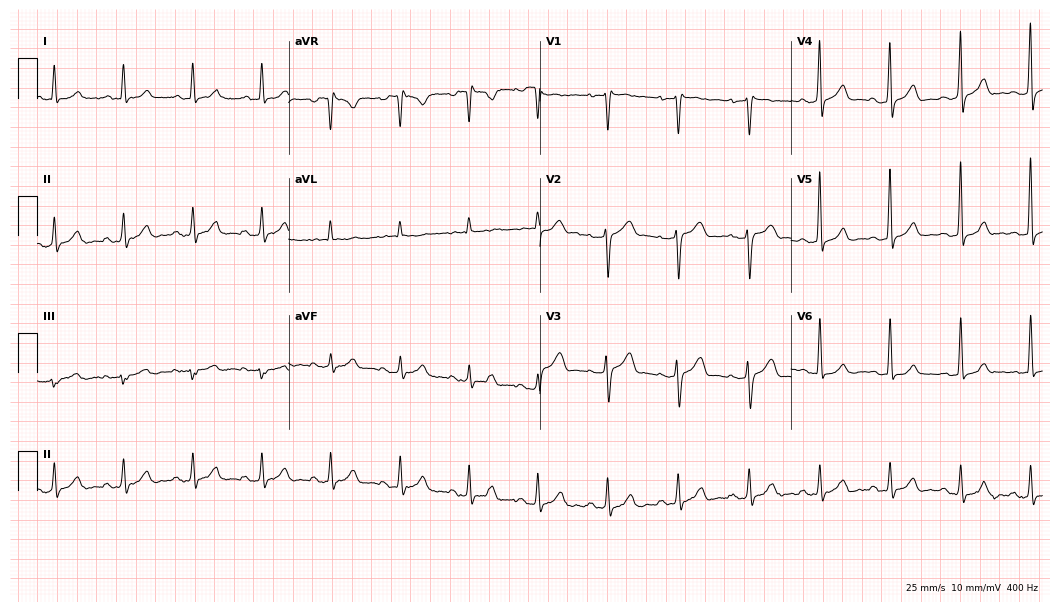
Standard 12-lead ECG recorded from a man, 43 years old (10.2-second recording at 400 Hz). Read as a normal ECG.